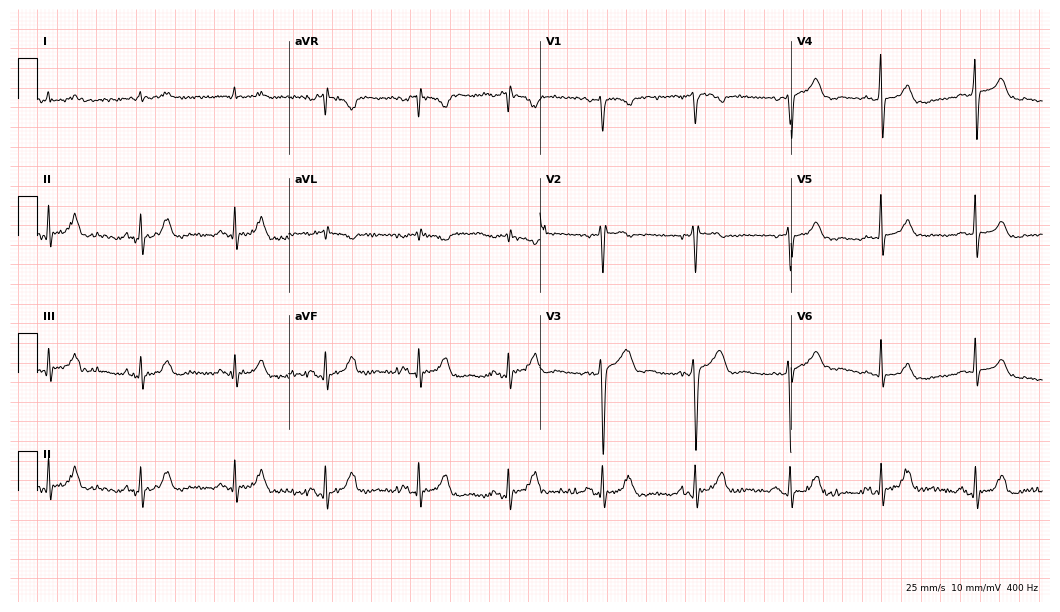
Resting 12-lead electrocardiogram (10.2-second recording at 400 Hz). Patient: a 68-year-old man. Read as a normal ECG.